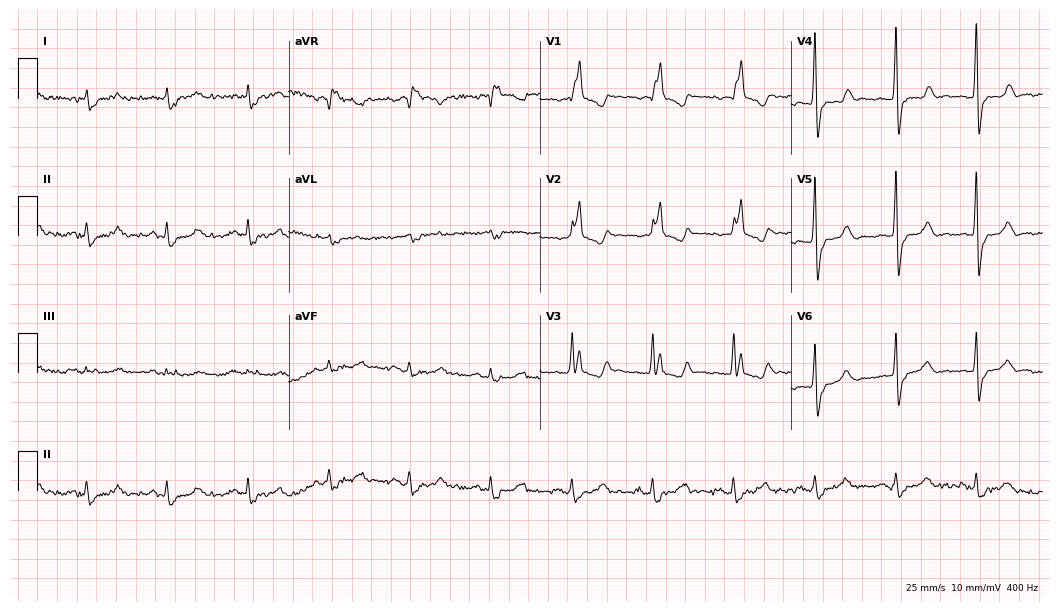
Standard 12-lead ECG recorded from a male, 85 years old (10.2-second recording at 400 Hz). The tracing shows right bundle branch block.